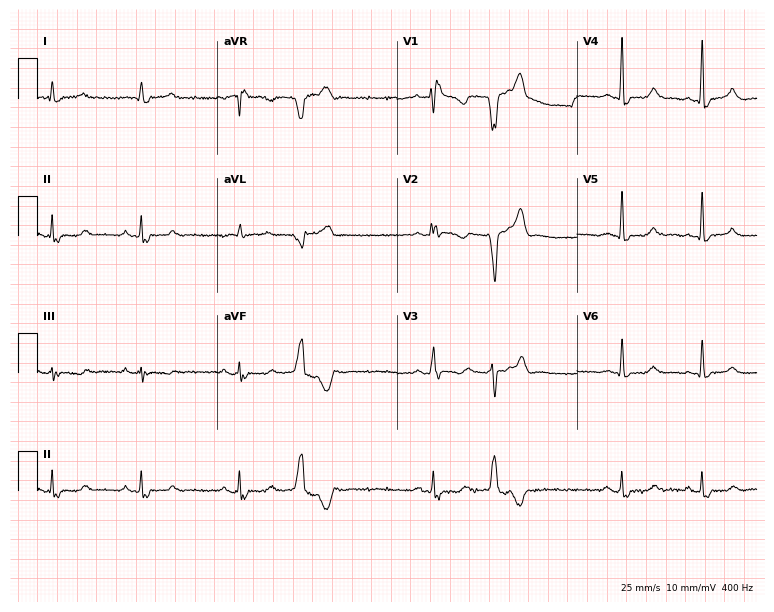
Standard 12-lead ECG recorded from a female patient, 55 years old (7.3-second recording at 400 Hz). The tracing shows right bundle branch block.